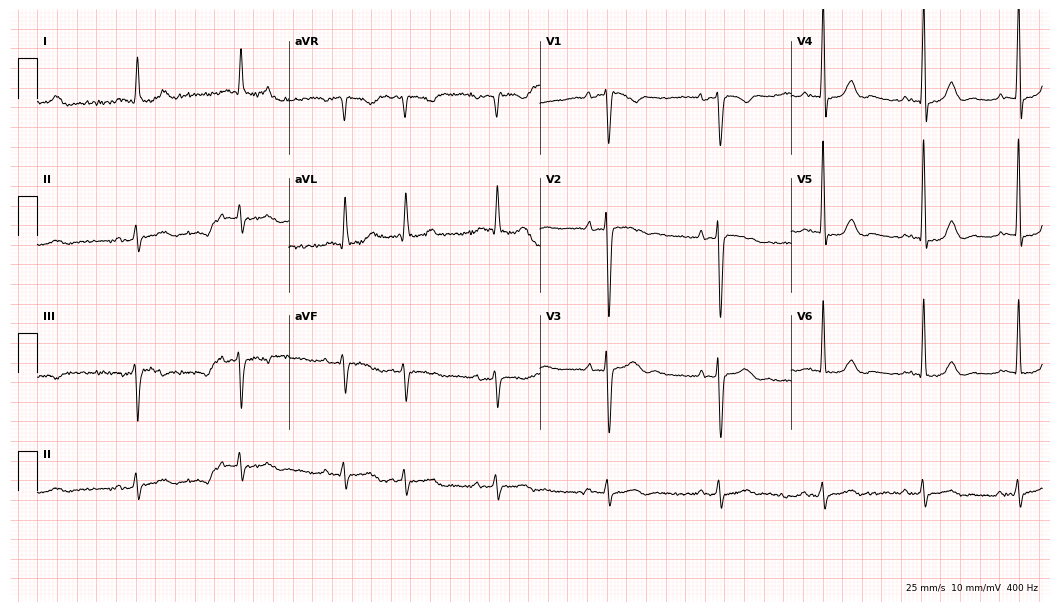
12-lead ECG from an 80-year-old male patient. No first-degree AV block, right bundle branch block, left bundle branch block, sinus bradycardia, atrial fibrillation or sinus tachycardia recorded for this tracing. Findings outside these six are not listed.